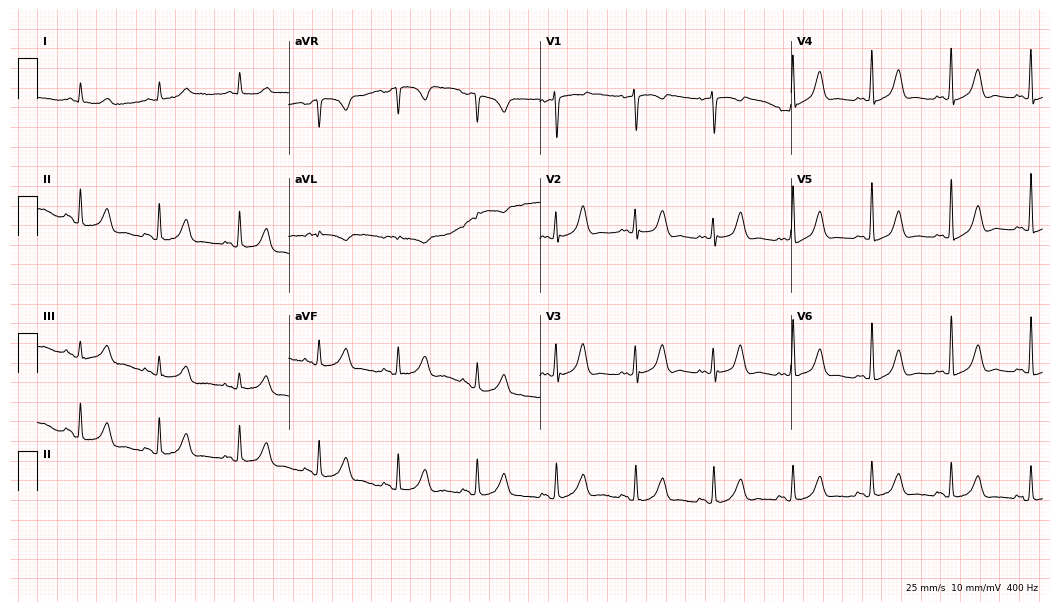
12-lead ECG from a female, 81 years old. Labelled as a normal ECG.